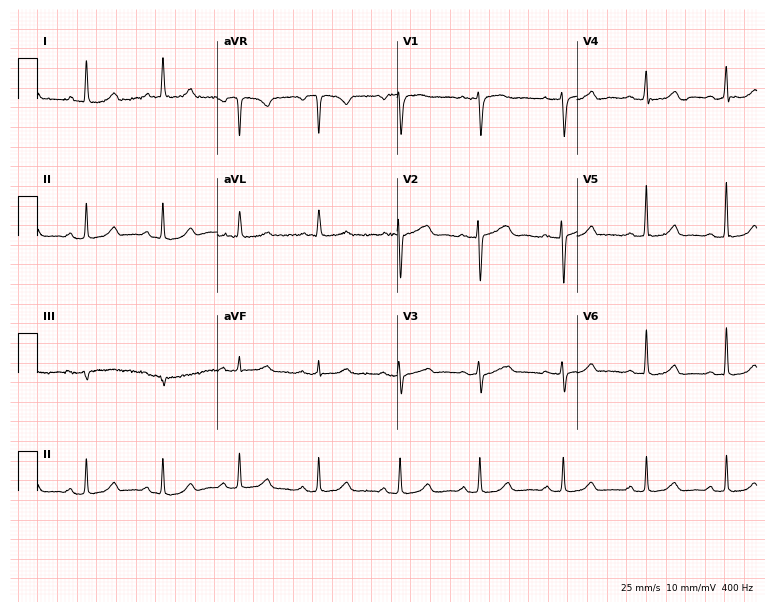
Electrocardiogram (7.3-second recording at 400 Hz), a female, 47 years old. Overall reading on record: normal ECG.